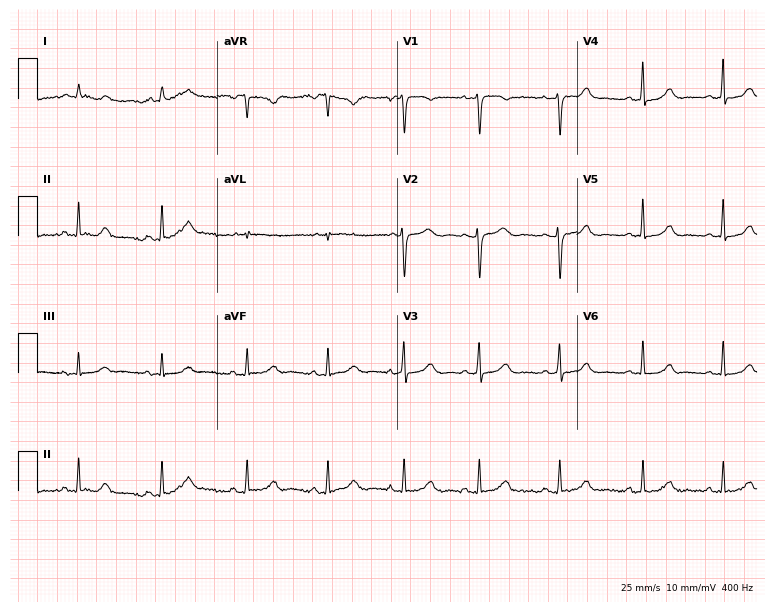
Standard 12-lead ECG recorded from a female patient, 40 years old (7.3-second recording at 400 Hz). None of these six findings is recorded: first-degree AV block, right bundle branch block (RBBB), left bundle branch block (LBBB), sinus bradycardia, atrial fibrillation (AF), sinus tachycardia.